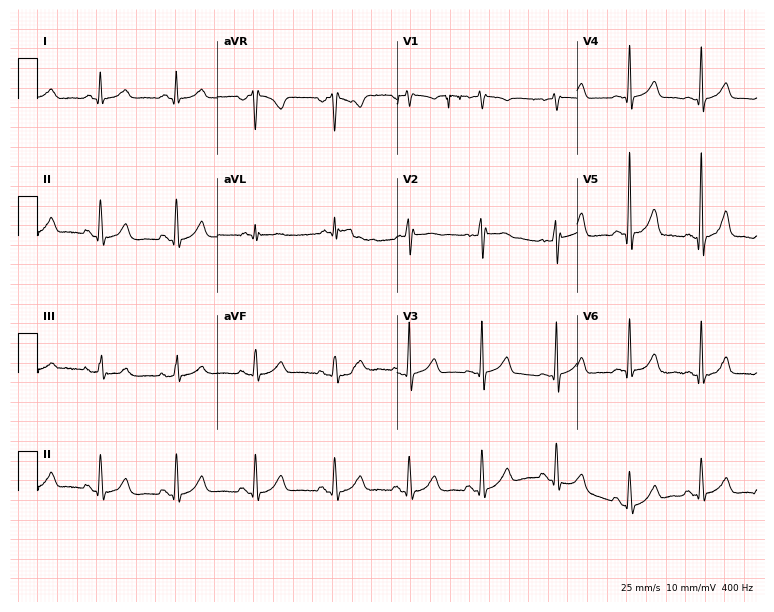
ECG (7.3-second recording at 400 Hz) — a male, 53 years old. Screened for six findings — first-degree AV block, right bundle branch block, left bundle branch block, sinus bradycardia, atrial fibrillation, sinus tachycardia — none is recorded. Other findings, if any, are not listed.